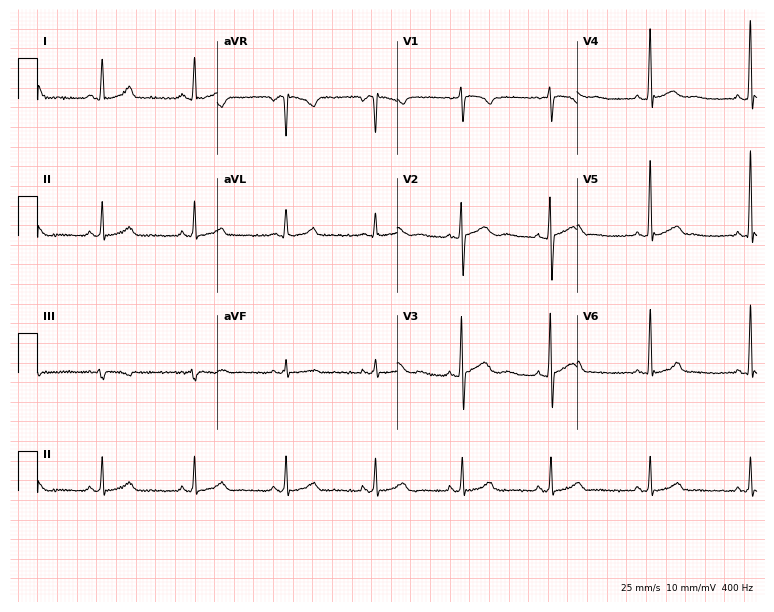
Resting 12-lead electrocardiogram (7.3-second recording at 400 Hz). Patient: a 29-year-old female. Read as a normal ECG.